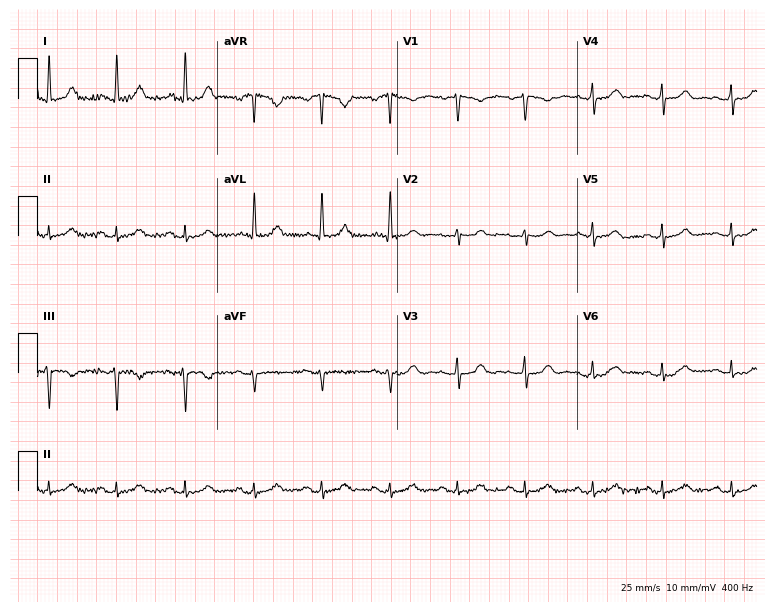
Resting 12-lead electrocardiogram (7.3-second recording at 400 Hz). Patient: an 80-year-old female. None of these six findings is recorded: first-degree AV block, right bundle branch block (RBBB), left bundle branch block (LBBB), sinus bradycardia, atrial fibrillation (AF), sinus tachycardia.